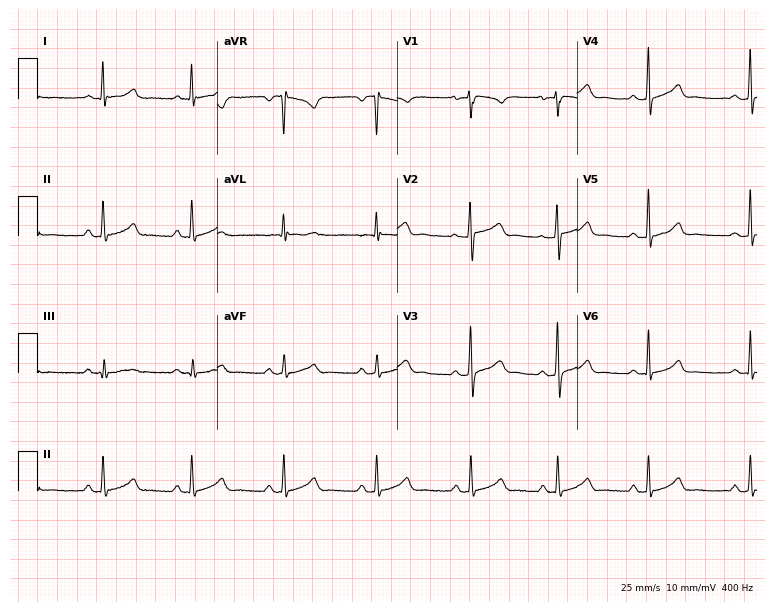
12-lead ECG from a 36-year-old female patient. No first-degree AV block, right bundle branch block (RBBB), left bundle branch block (LBBB), sinus bradycardia, atrial fibrillation (AF) or sinus tachycardia recorded for this tracing.